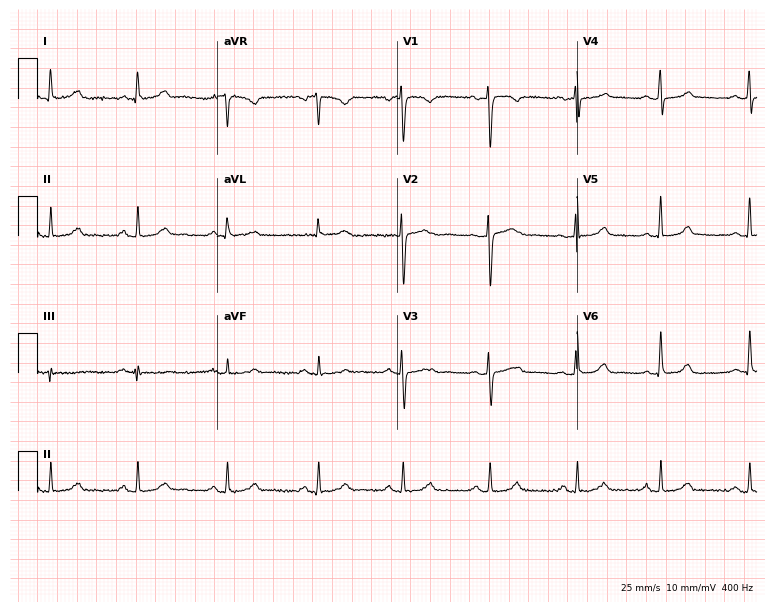
Electrocardiogram (7.3-second recording at 400 Hz), a 46-year-old female patient. Of the six screened findings (first-degree AV block, right bundle branch block, left bundle branch block, sinus bradycardia, atrial fibrillation, sinus tachycardia), none is recorded.